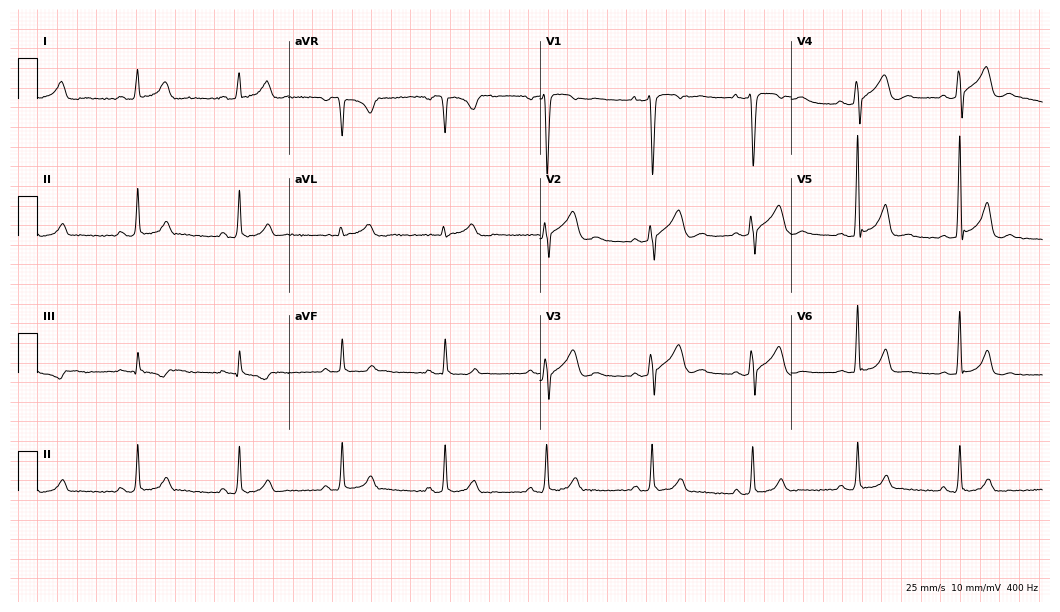
Resting 12-lead electrocardiogram (10.2-second recording at 400 Hz). Patient: a 33-year-old man. Read as a normal ECG.